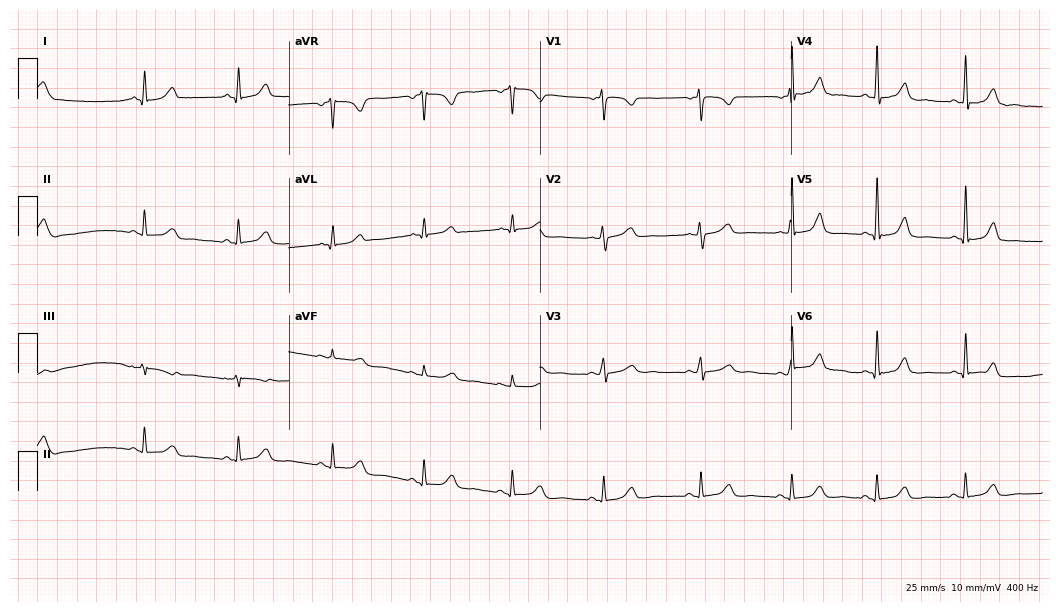
ECG (10.2-second recording at 400 Hz) — a female patient, 49 years old. Screened for six findings — first-degree AV block, right bundle branch block, left bundle branch block, sinus bradycardia, atrial fibrillation, sinus tachycardia — none is recorded.